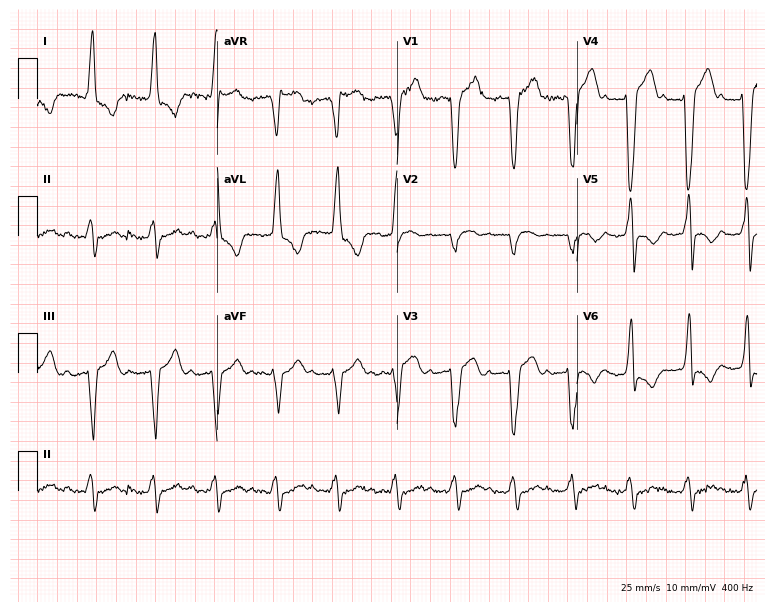
12-lead ECG from a man, 86 years old. Shows first-degree AV block, left bundle branch block (LBBB).